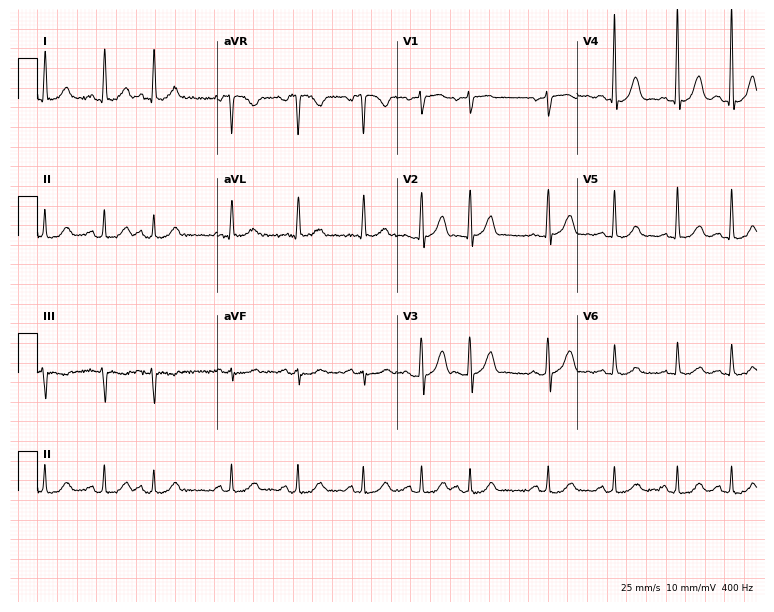
Electrocardiogram (7.3-second recording at 400 Hz), an 81-year-old female patient. Overall reading on record: normal ECG.